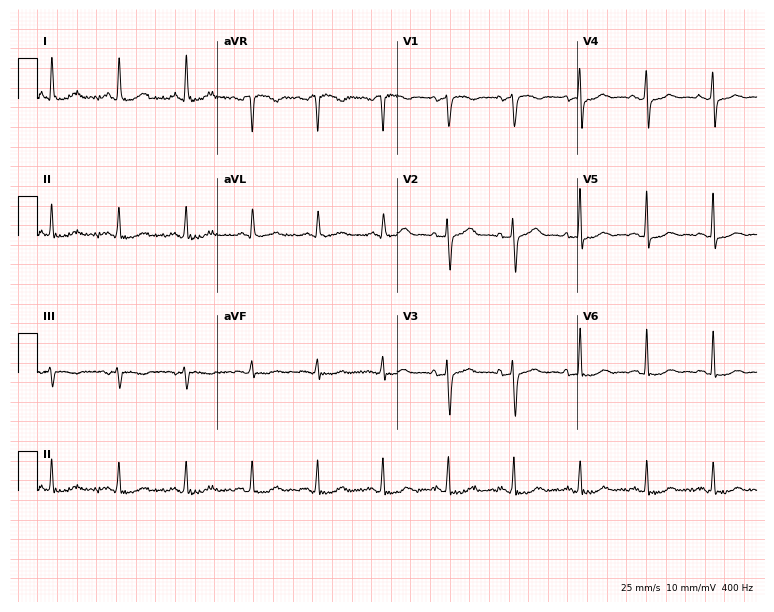
ECG (7.3-second recording at 400 Hz) — a 66-year-old woman. Screened for six findings — first-degree AV block, right bundle branch block (RBBB), left bundle branch block (LBBB), sinus bradycardia, atrial fibrillation (AF), sinus tachycardia — none is recorded.